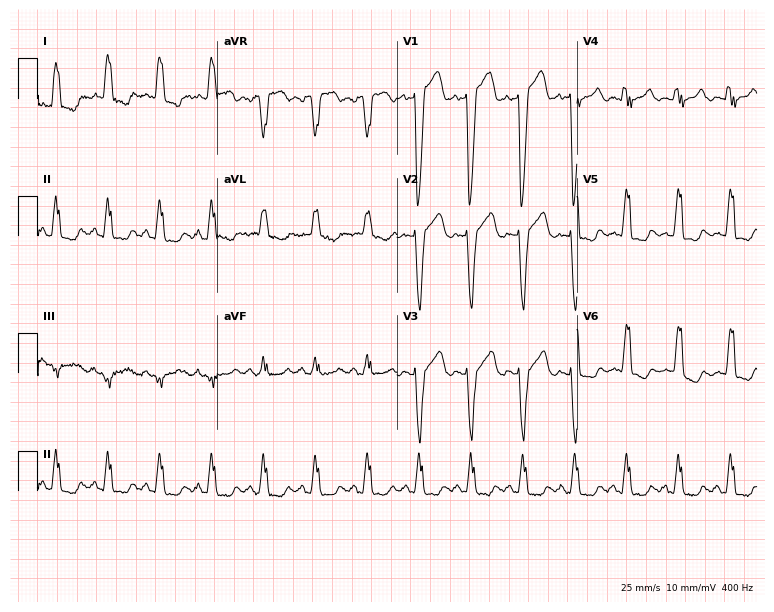
Resting 12-lead electrocardiogram. Patient: a man, 69 years old. The tracing shows sinus tachycardia (a sinus rate of 100 beats per minute or more).